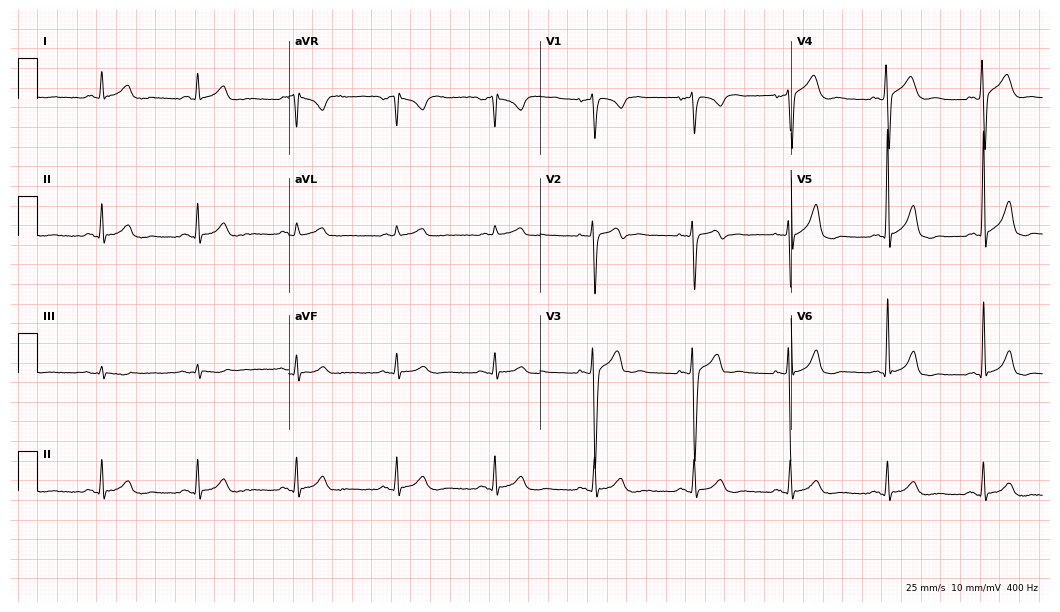
Electrocardiogram (10.2-second recording at 400 Hz), a male patient, 47 years old. Overall reading on record: normal ECG.